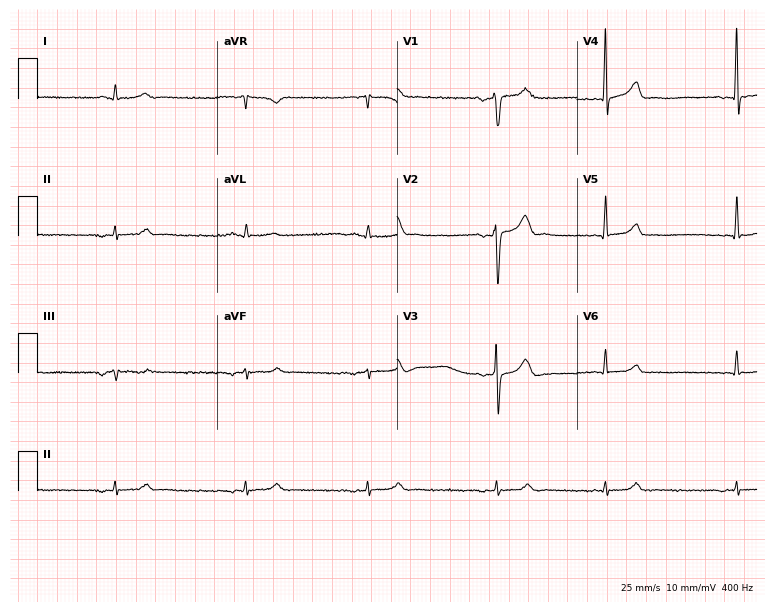
ECG — a 46-year-old male. Screened for six findings — first-degree AV block, right bundle branch block, left bundle branch block, sinus bradycardia, atrial fibrillation, sinus tachycardia — none is recorded.